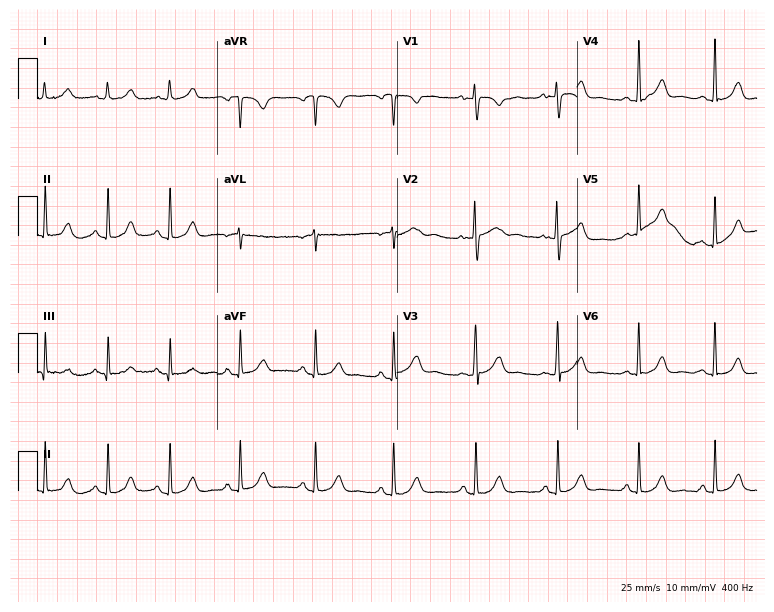
12-lead ECG (7.3-second recording at 400 Hz) from a 25-year-old woman. Labelled as a normal ECG.